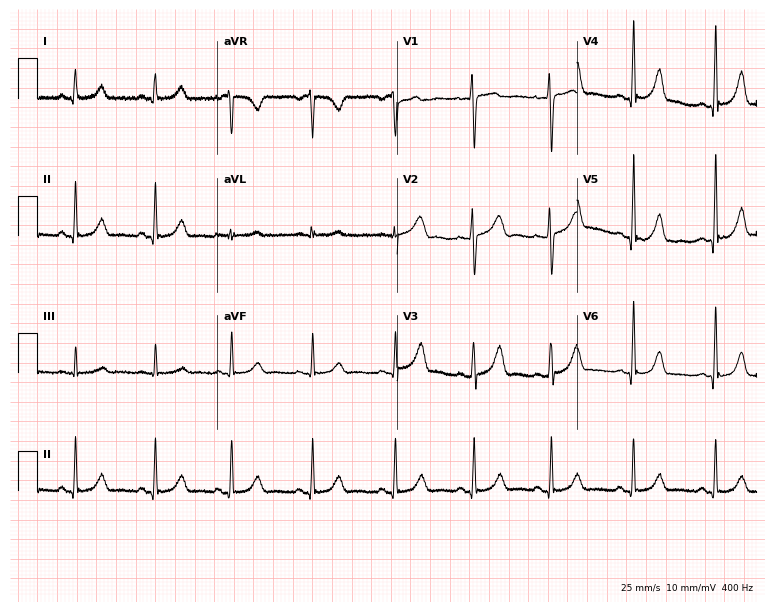
Resting 12-lead electrocardiogram. Patient: a 27-year-old female. Read as a normal ECG.